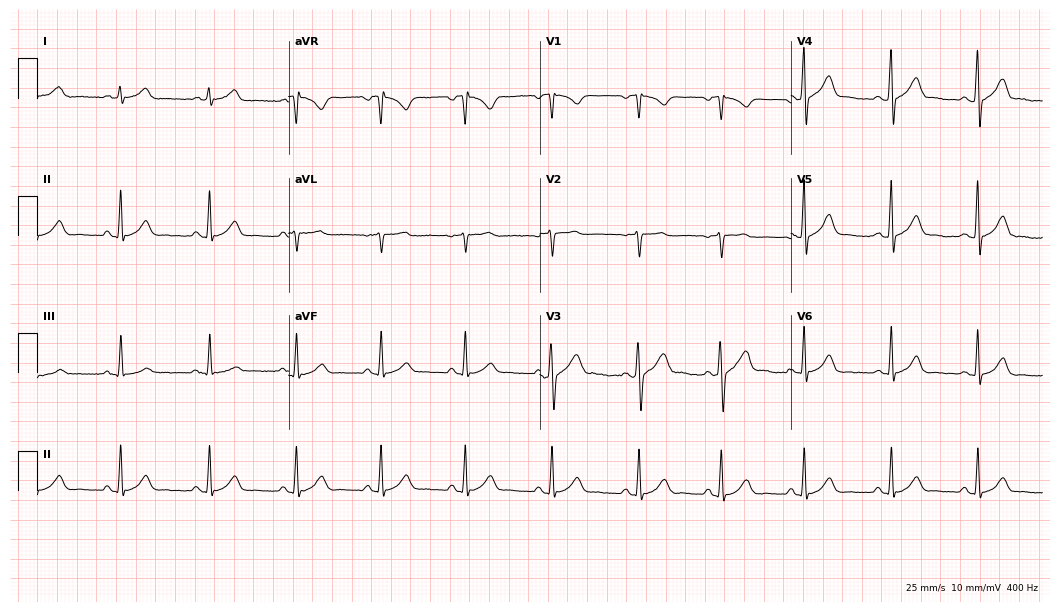
12-lead ECG from a man, 27 years old. Labelled as a normal ECG.